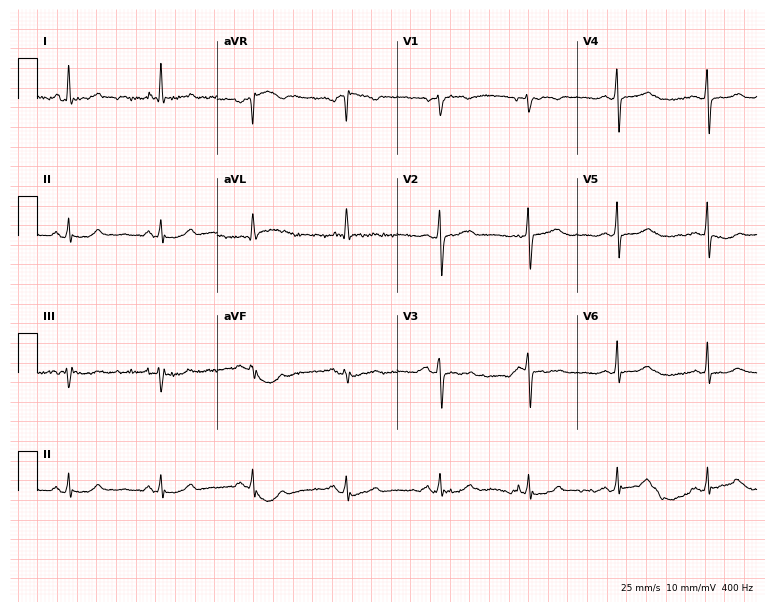
Resting 12-lead electrocardiogram (7.3-second recording at 400 Hz). Patient: a female, 62 years old. Read as a normal ECG.